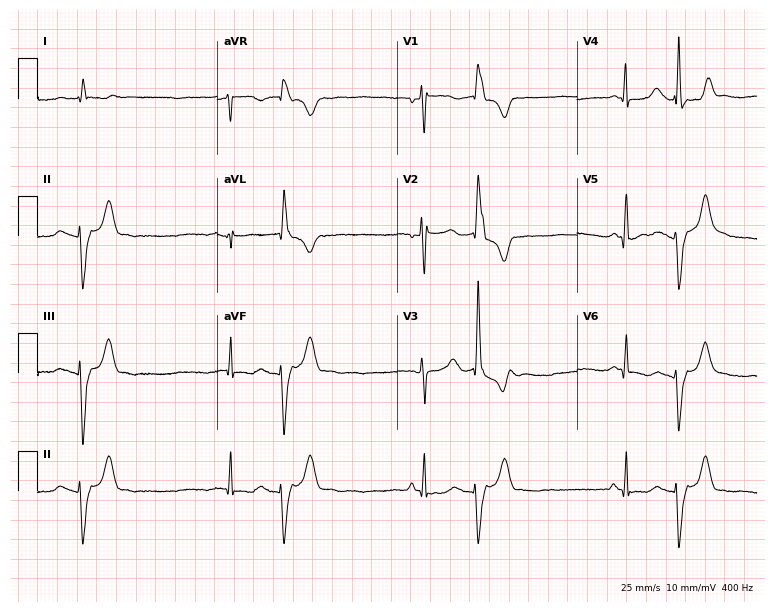
12-lead ECG from a female, 40 years old. No first-degree AV block, right bundle branch block (RBBB), left bundle branch block (LBBB), sinus bradycardia, atrial fibrillation (AF) or sinus tachycardia recorded for this tracing. Findings outside these six are not listed.